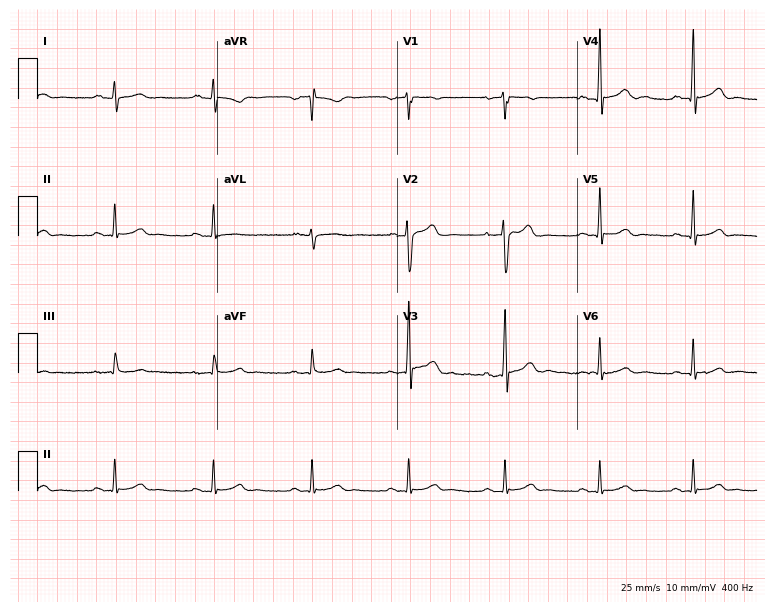
12-lead ECG from a man, 47 years old. Labelled as a normal ECG.